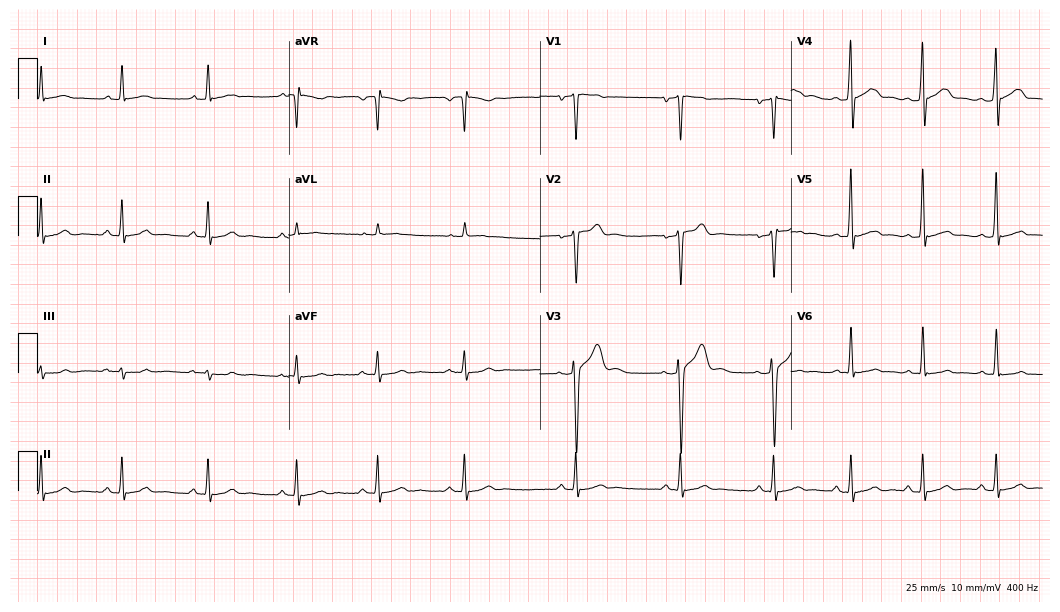
Standard 12-lead ECG recorded from a 19-year-old man (10.2-second recording at 400 Hz). Read as a normal ECG.